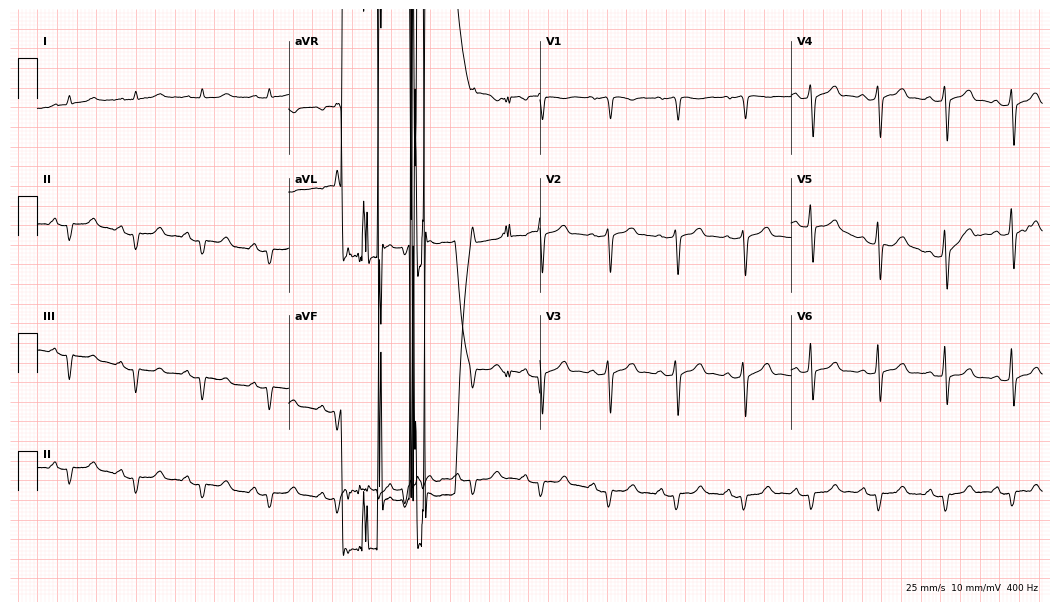
Resting 12-lead electrocardiogram (10.2-second recording at 400 Hz). Patient: a female, 67 years old. None of these six findings is recorded: first-degree AV block, right bundle branch block, left bundle branch block, sinus bradycardia, atrial fibrillation, sinus tachycardia.